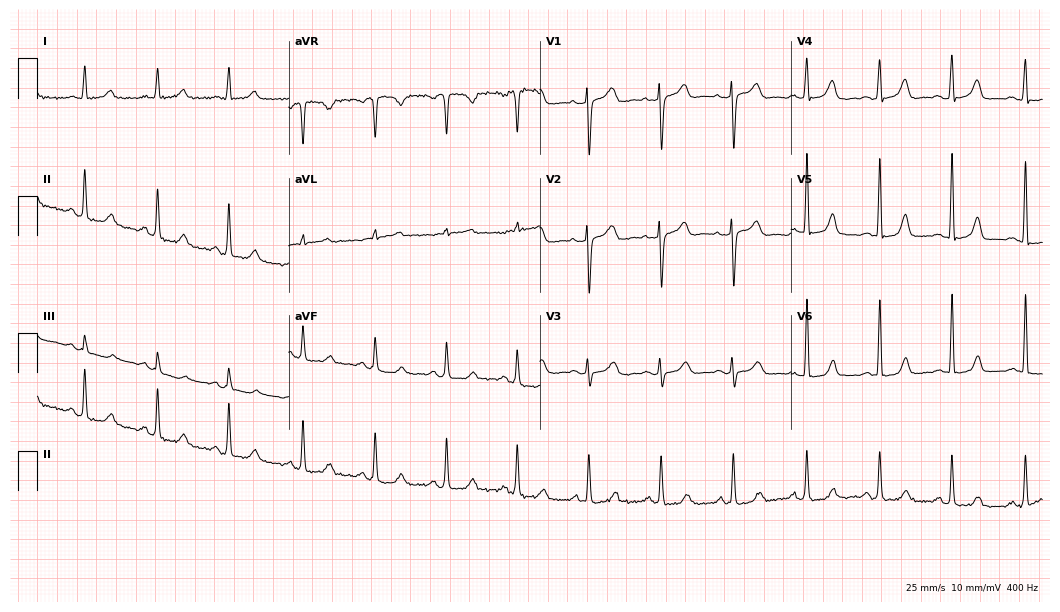
Resting 12-lead electrocardiogram. Patient: a female, 49 years old. Read as a normal ECG.